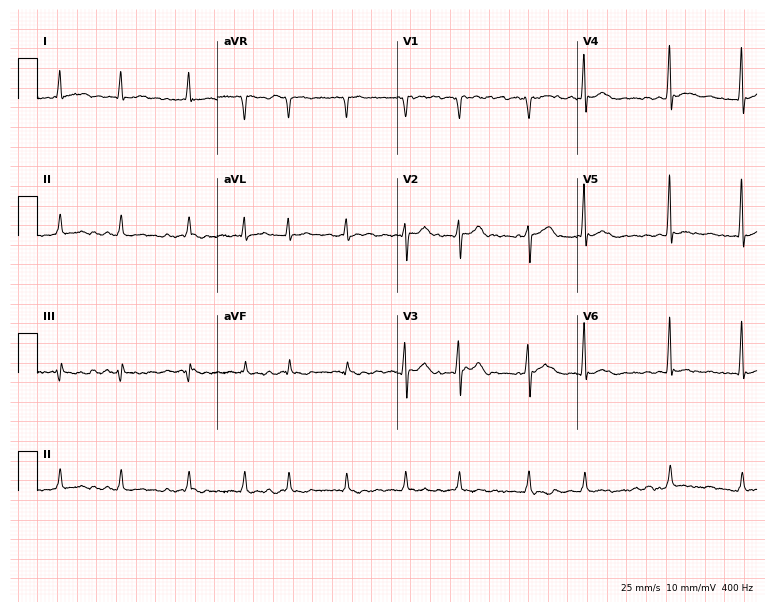
Electrocardiogram, a 55-year-old male patient. Interpretation includes atrial fibrillation (AF).